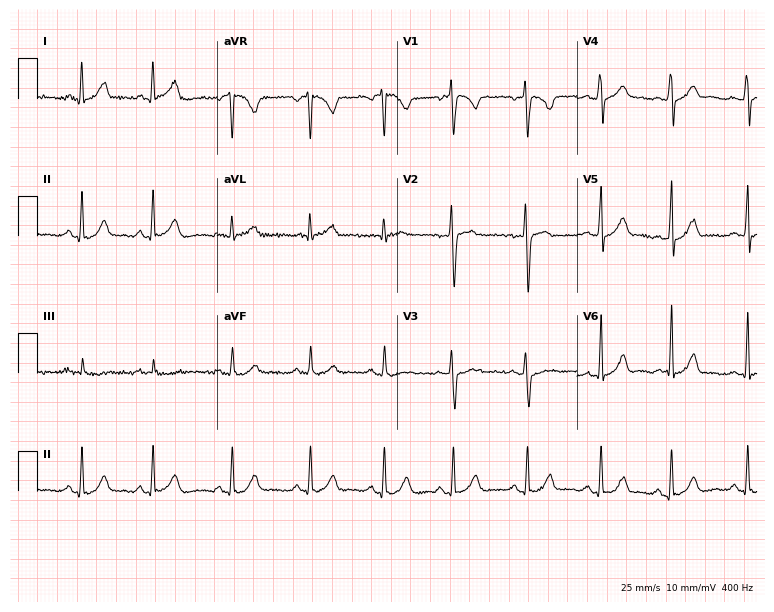
Resting 12-lead electrocardiogram. Patient: a 19-year-old female. Read as a normal ECG.